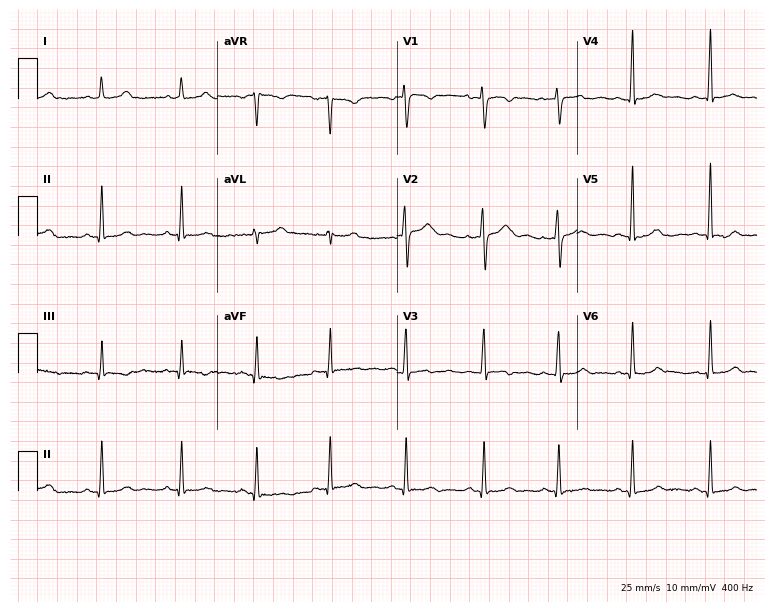
Resting 12-lead electrocardiogram. Patient: a female, 36 years old. Read as a normal ECG.